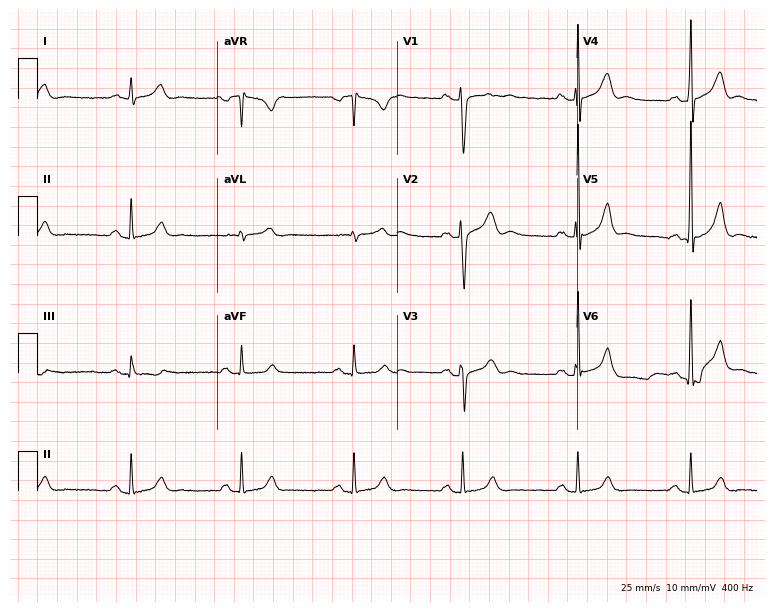
12-lead ECG from a man, 37 years old (7.3-second recording at 400 Hz). No first-degree AV block, right bundle branch block, left bundle branch block, sinus bradycardia, atrial fibrillation or sinus tachycardia recorded for this tracing. Only these six findings were labelled.